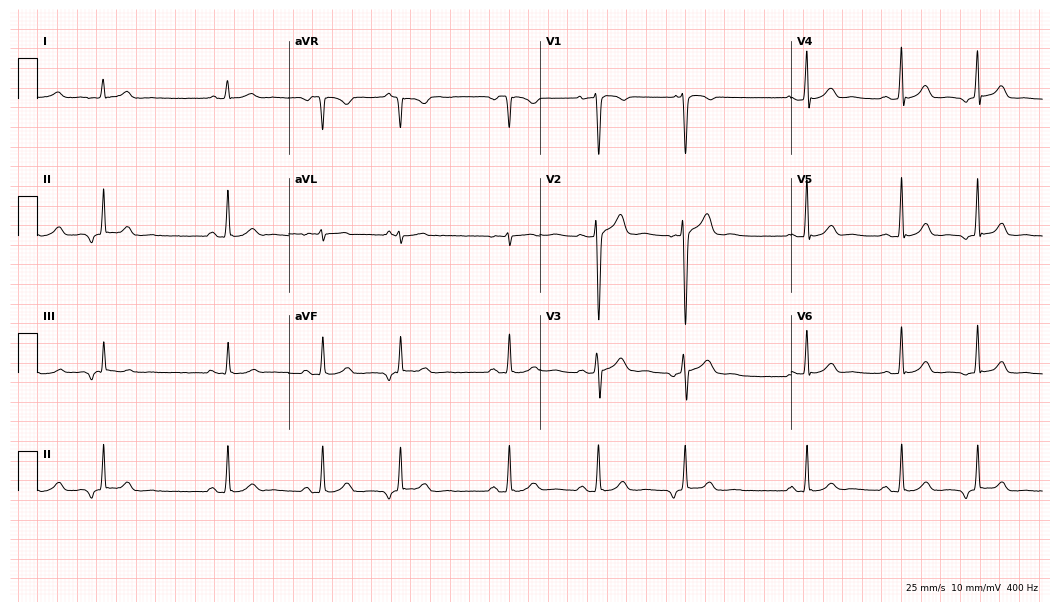
12-lead ECG from a 29-year-old male (10.2-second recording at 400 Hz). No first-degree AV block, right bundle branch block, left bundle branch block, sinus bradycardia, atrial fibrillation or sinus tachycardia recorded for this tracing. Other findings, if any, are not listed.